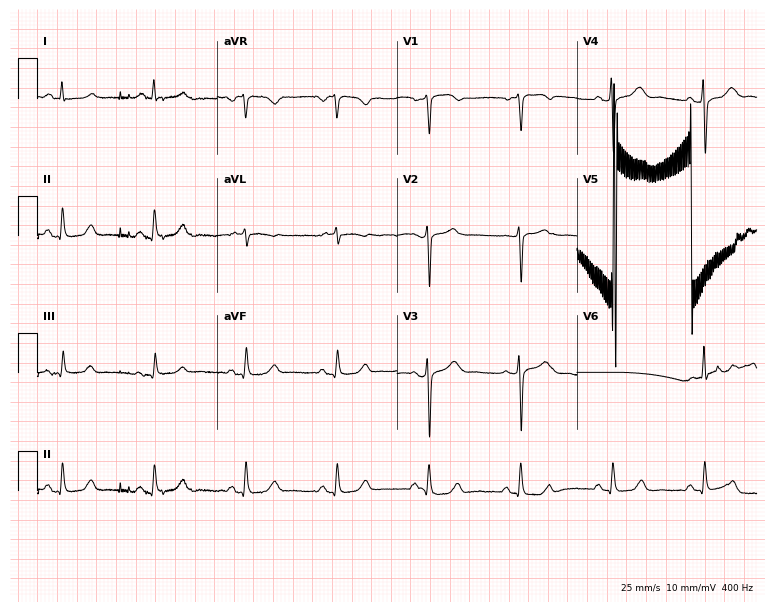
12-lead ECG from a male patient, 68 years old (7.3-second recording at 400 Hz). Recorded interpretation: within normal limits.